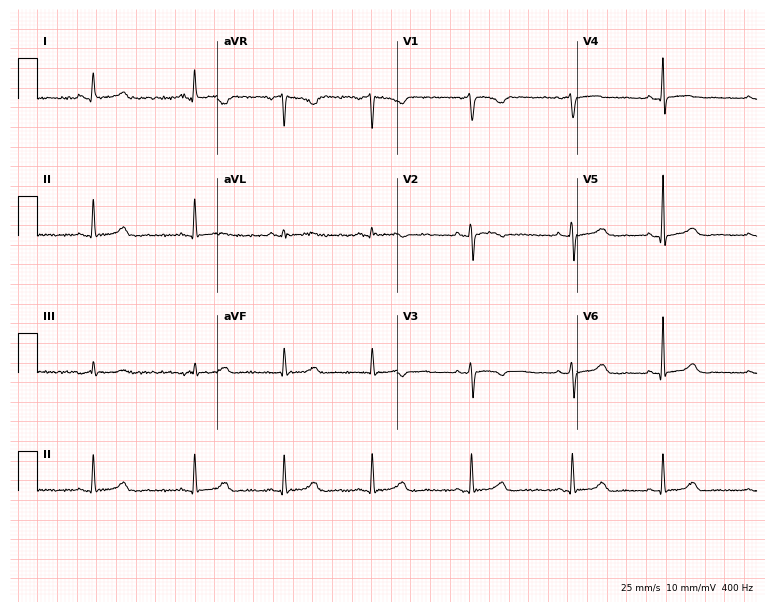
12-lead ECG (7.3-second recording at 400 Hz) from a female, 27 years old. Labelled as a normal ECG.